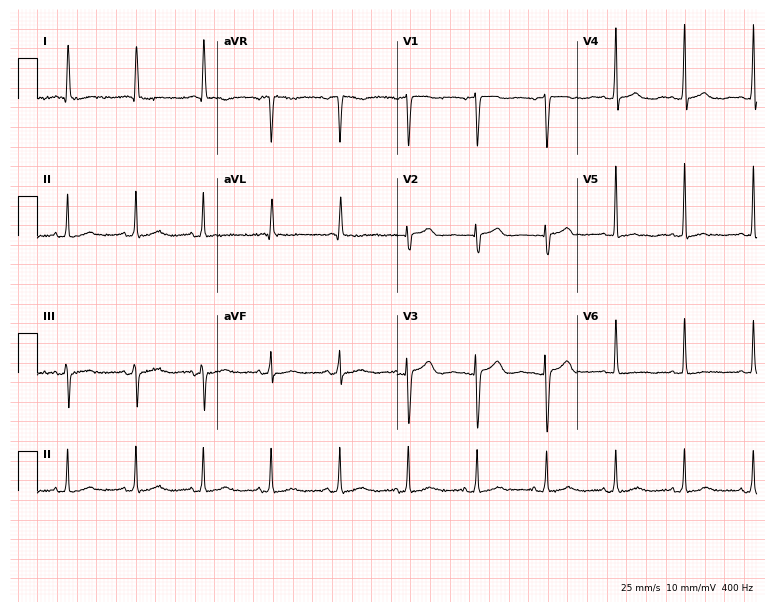
ECG (7.3-second recording at 400 Hz) — a female, 59 years old. Screened for six findings — first-degree AV block, right bundle branch block, left bundle branch block, sinus bradycardia, atrial fibrillation, sinus tachycardia — none is recorded. Findings outside these six are not listed.